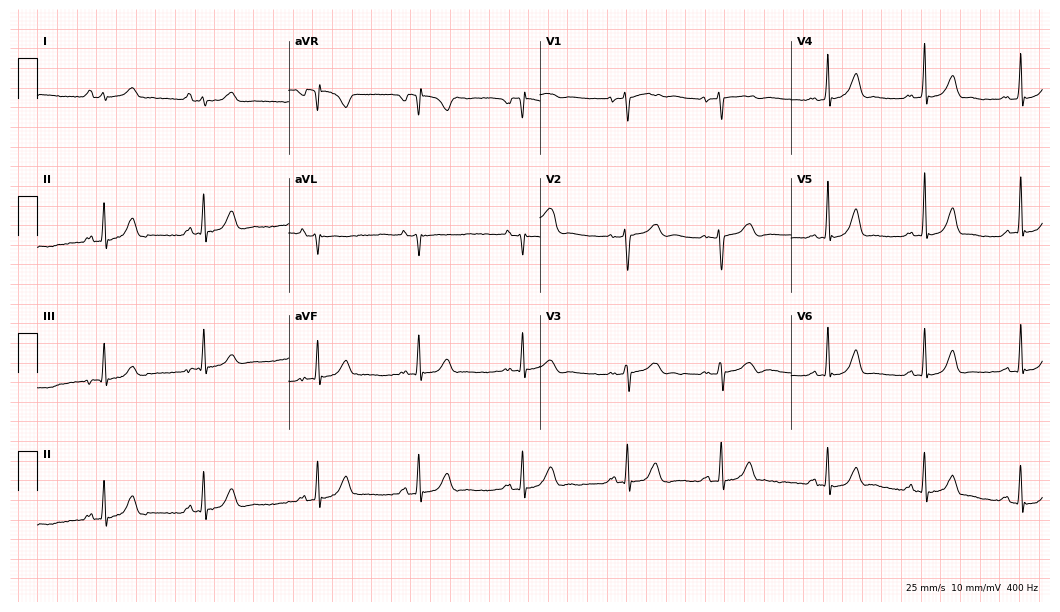
Resting 12-lead electrocardiogram. Patient: a female, 22 years old. None of these six findings is recorded: first-degree AV block, right bundle branch block (RBBB), left bundle branch block (LBBB), sinus bradycardia, atrial fibrillation (AF), sinus tachycardia. Findings outside these six are not listed.